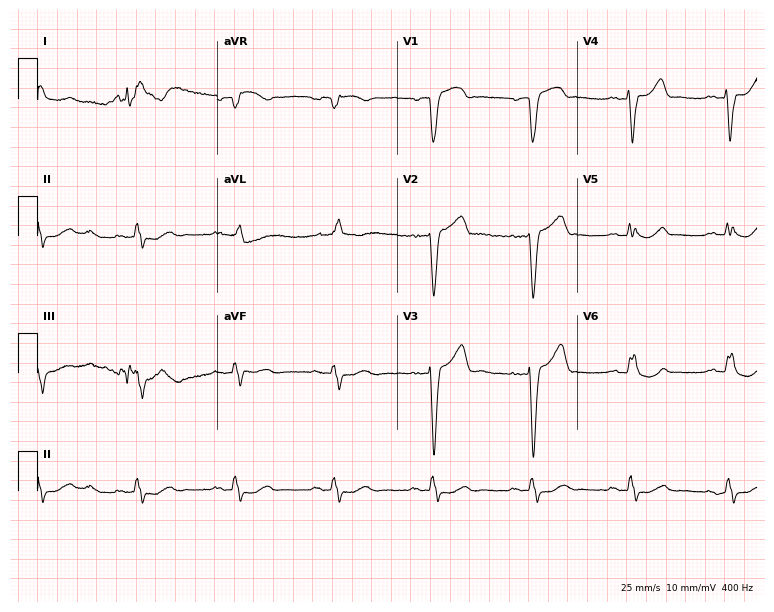
Electrocardiogram (7.3-second recording at 400 Hz), a female patient, 73 years old. Interpretation includes left bundle branch block.